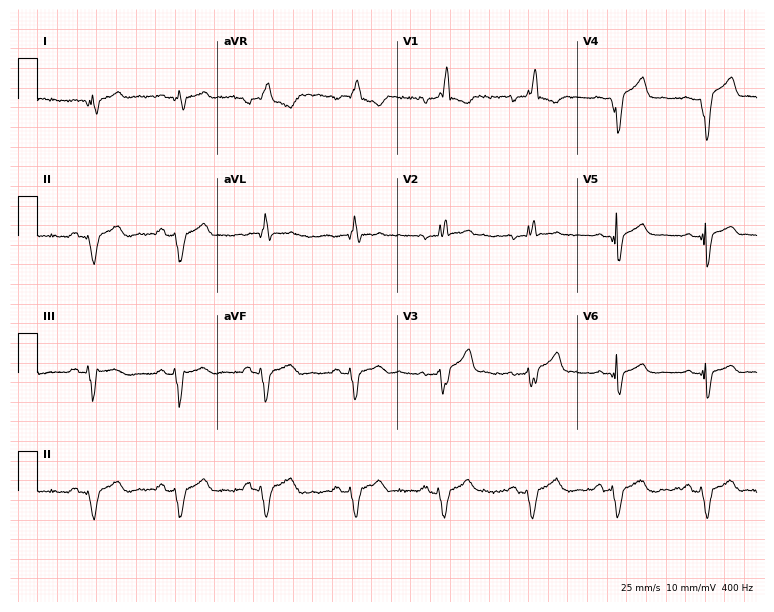
ECG — a 30-year-old male patient. Findings include right bundle branch block (RBBB).